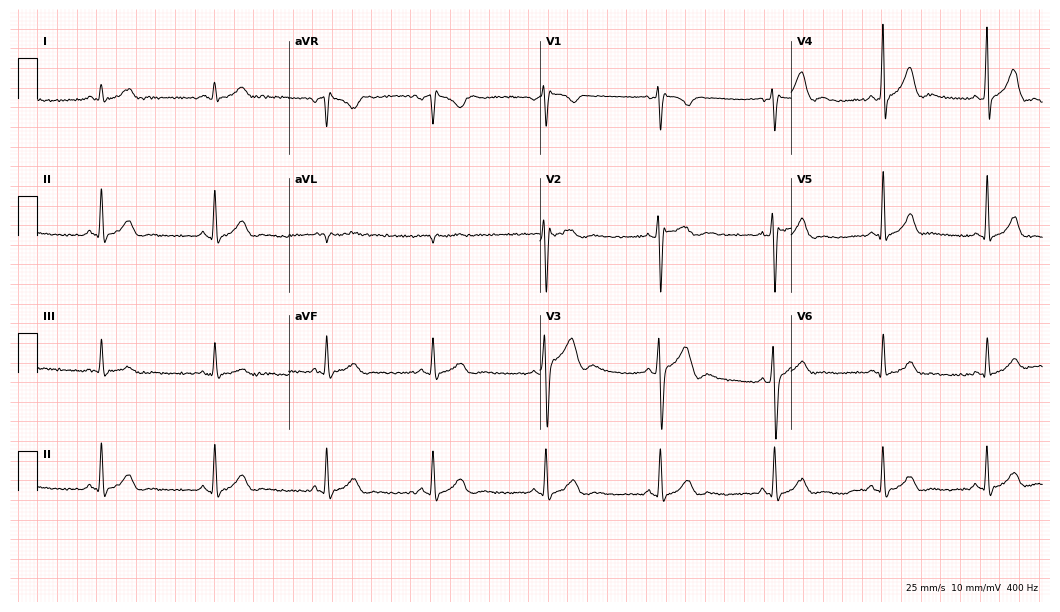
Standard 12-lead ECG recorded from a 45-year-old male (10.2-second recording at 400 Hz). None of these six findings is recorded: first-degree AV block, right bundle branch block, left bundle branch block, sinus bradycardia, atrial fibrillation, sinus tachycardia.